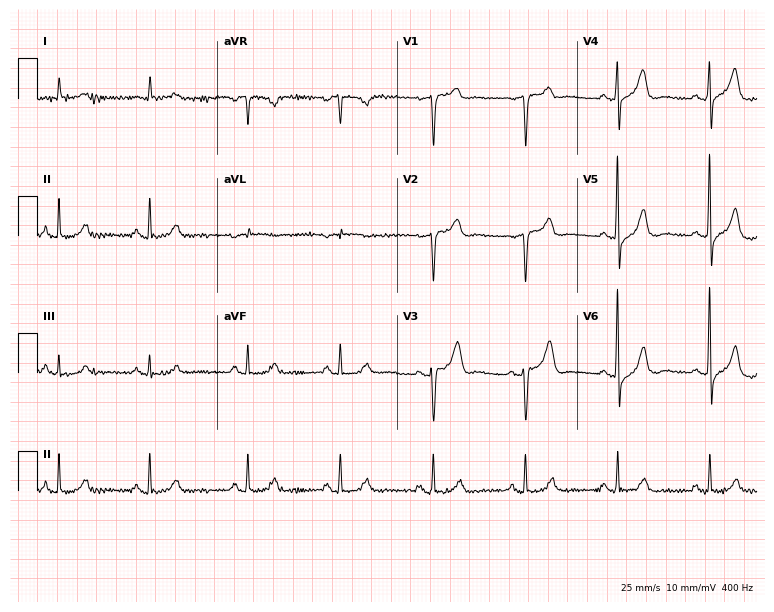
Resting 12-lead electrocardiogram (7.3-second recording at 400 Hz). Patient: a 65-year-old male. Read as a normal ECG.